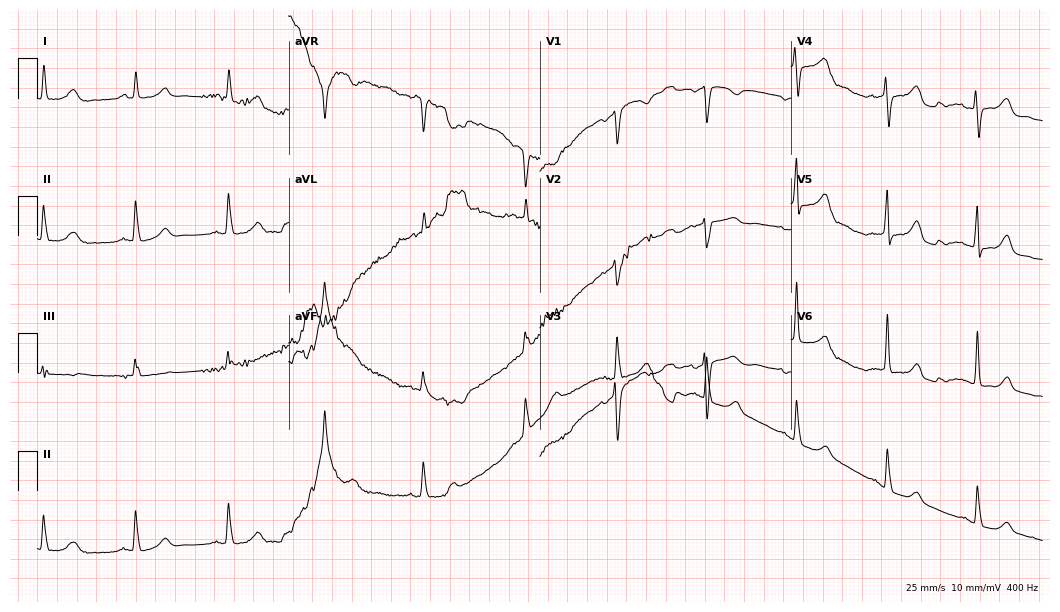
Electrocardiogram, a 68-year-old woman. Of the six screened findings (first-degree AV block, right bundle branch block, left bundle branch block, sinus bradycardia, atrial fibrillation, sinus tachycardia), none is recorded.